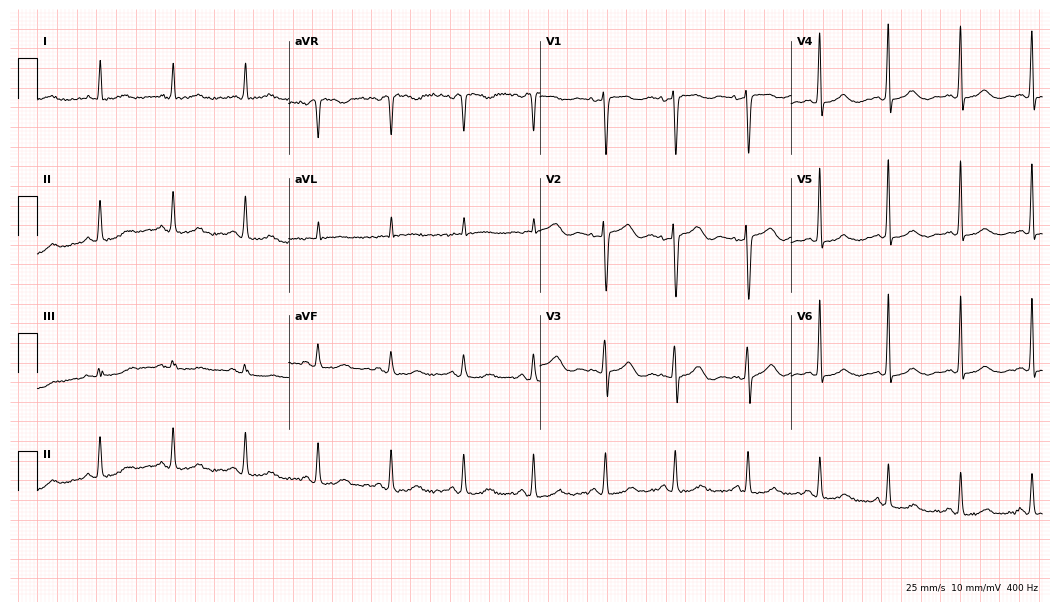
Electrocardiogram, a 58-year-old woman. Of the six screened findings (first-degree AV block, right bundle branch block, left bundle branch block, sinus bradycardia, atrial fibrillation, sinus tachycardia), none is recorded. Findings outside these six are not listed.